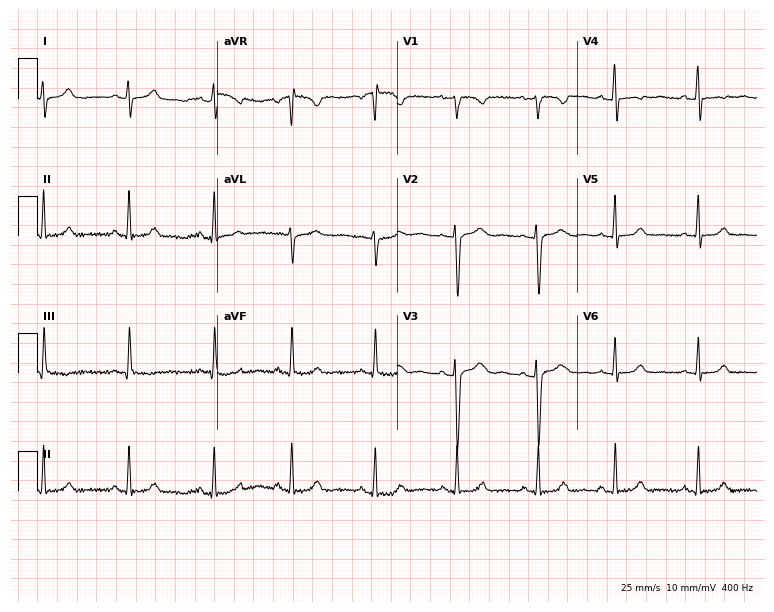
Electrocardiogram, a female patient, 21 years old. Of the six screened findings (first-degree AV block, right bundle branch block (RBBB), left bundle branch block (LBBB), sinus bradycardia, atrial fibrillation (AF), sinus tachycardia), none is recorded. Other findings, if any, are not listed.